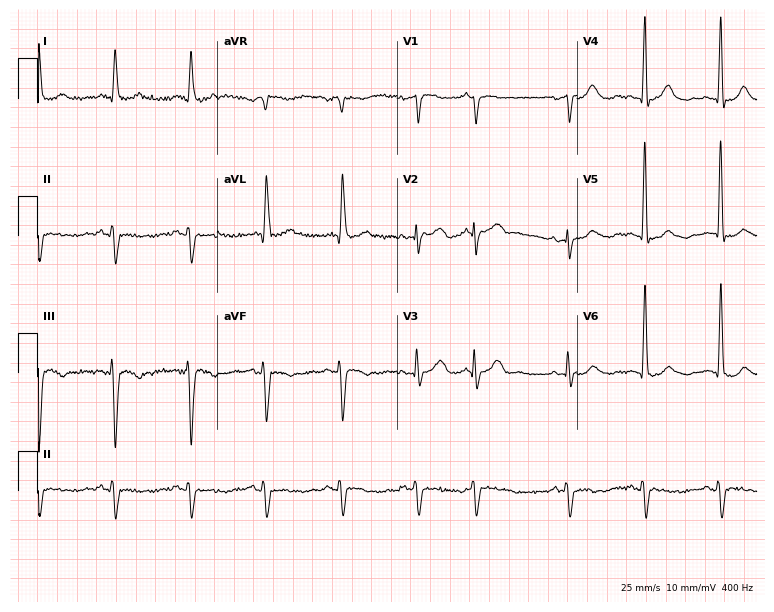
12-lead ECG from a female patient, 80 years old. No first-degree AV block, right bundle branch block (RBBB), left bundle branch block (LBBB), sinus bradycardia, atrial fibrillation (AF) or sinus tachycardia recorded for this tracing. Findings outside these six are not listed.